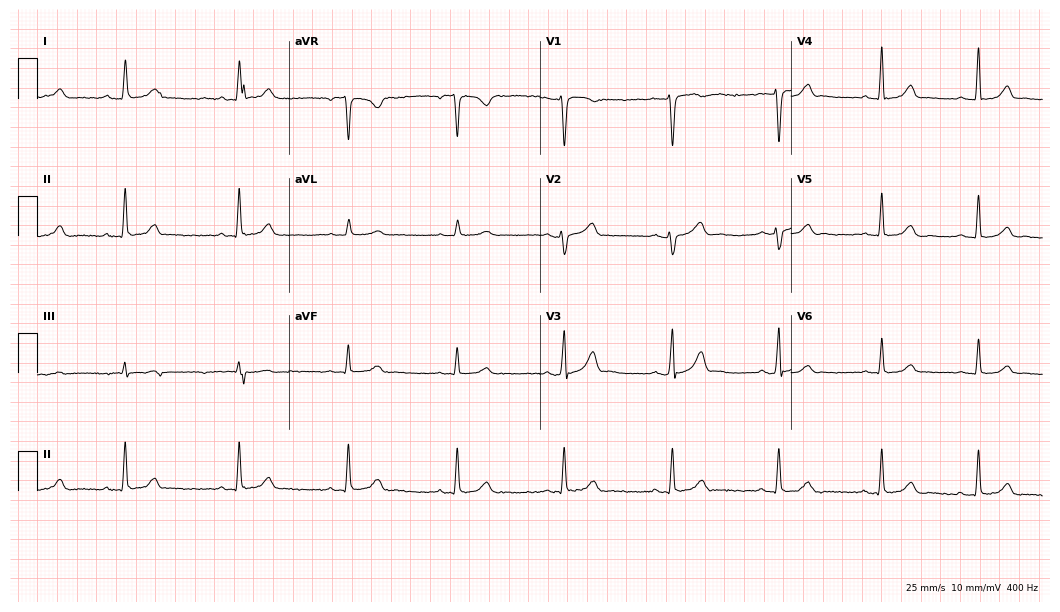
12-lead ECG from a female, 29 years old. Labelled as a normal ECG.